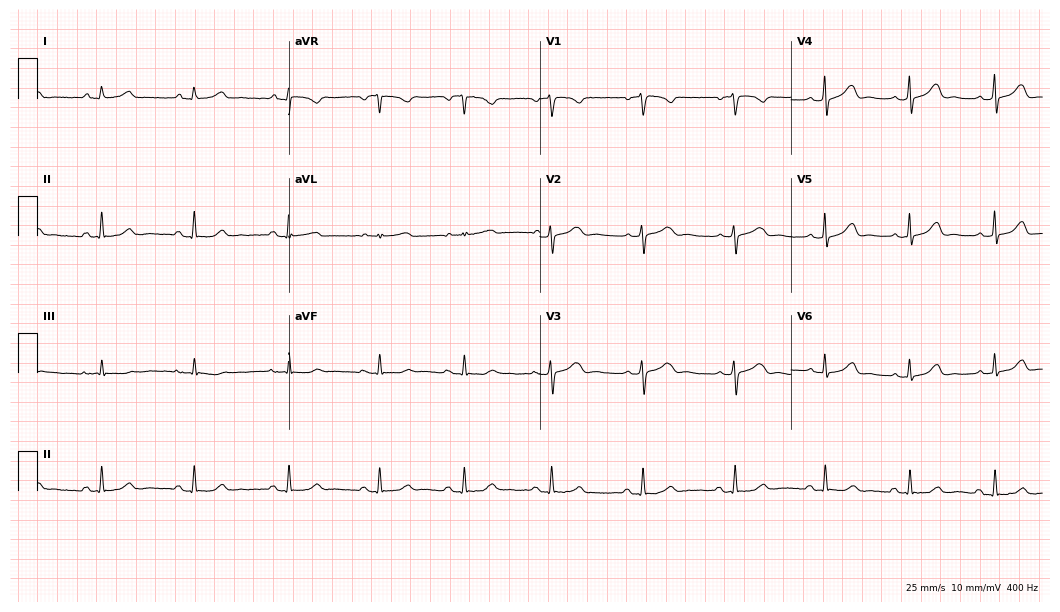
ECG (10.2-second recording at 400 Hz) — a 43-year-old female. Labelled as a normal ECG.